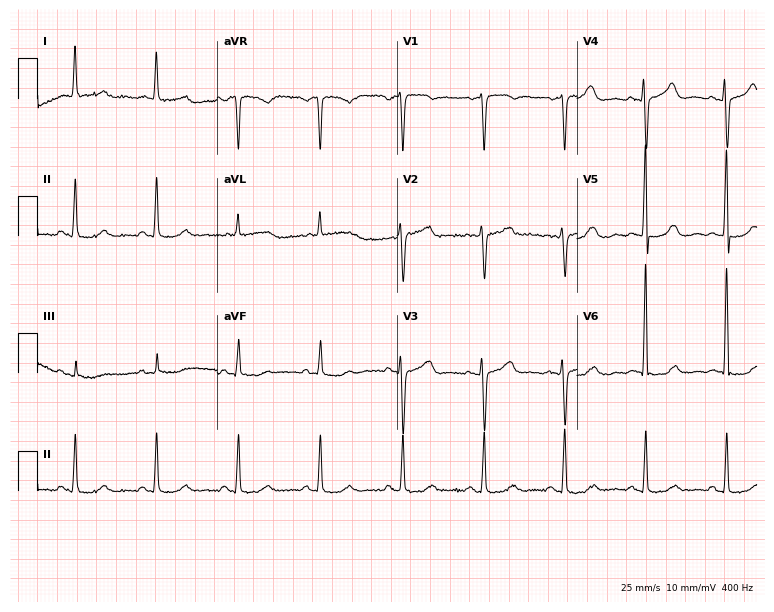
Standard 12-lead ECG recorded from a female patient, 52 years old. Read as a normal ECG.